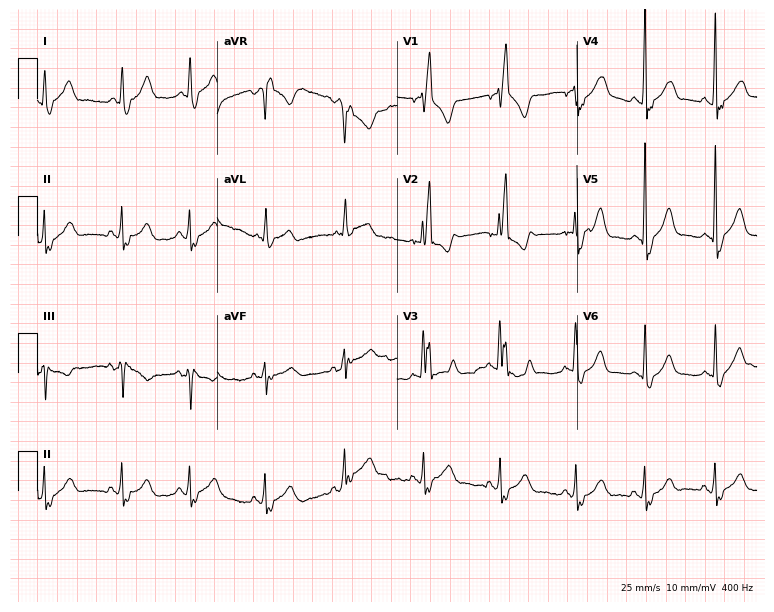
ECG — a male patient, 50 years old. Findings include right bundle branch block.